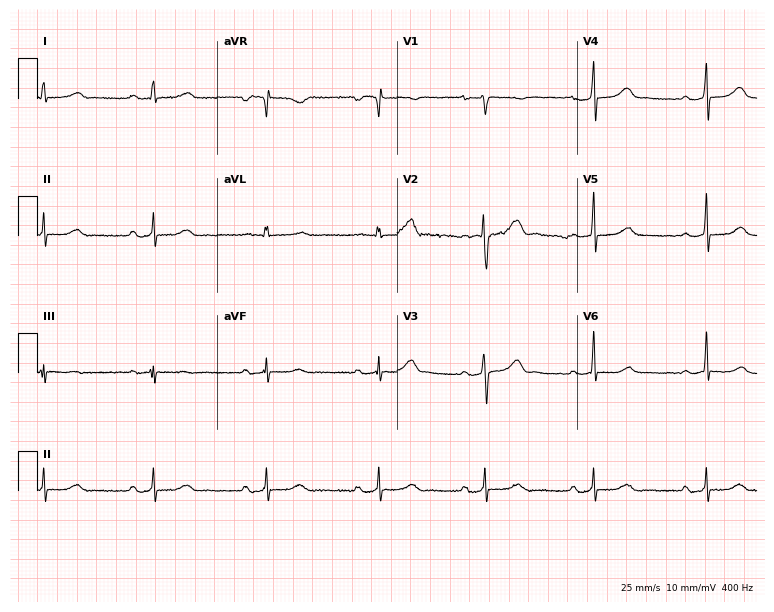
Standard 12-lead ECG recorded from a 25-year-old female. None of these six findings is recorded: first-degree AV block, right bundle branch block (RBBB), left bundle branch block (LBBB), sinus bradycardia, atrial fibrillation (AF), sinus tachycardia. Only these six findings were labelled.